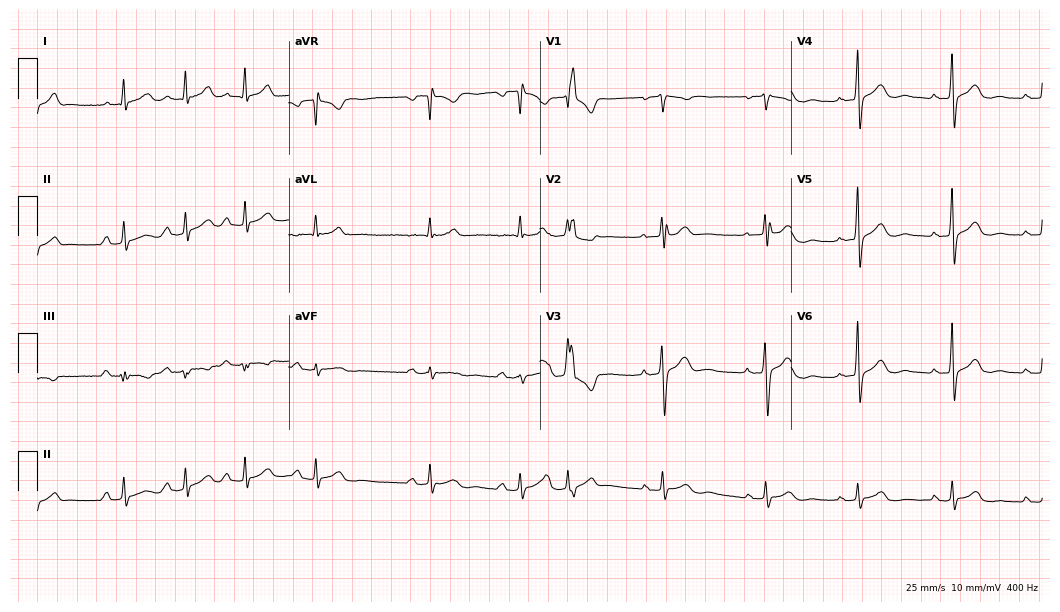
12-lead ECG (10.2-second recording at 400 Hz) from a male, 50 years old. Screened for six findings — first-degree AV block, right bundle branch block (RBBB), left bundle branch block (LBBB), sinus bradycardia, atrial fibrillation (AF), sinus tachycardia — none is recorded.